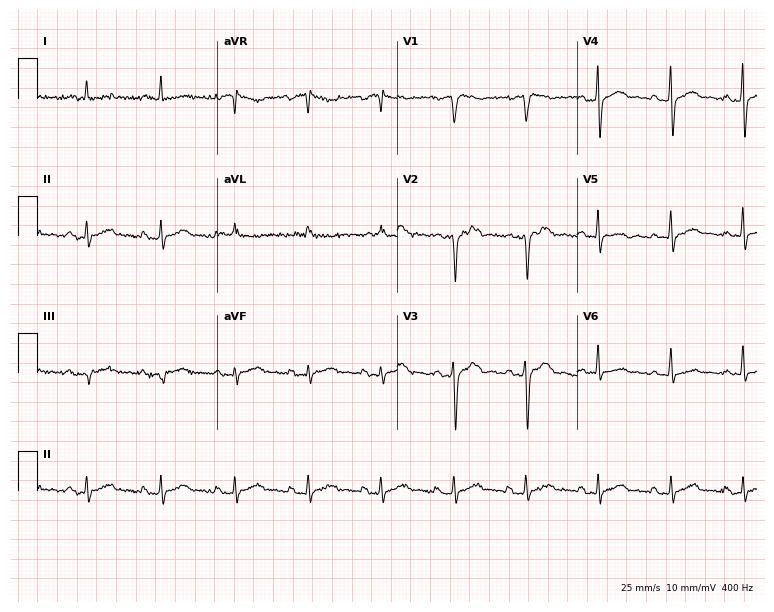
ECG (7.3-second recording at 400 Hz) — a male, 61 years old. Screened for six findings — first-degree AV block, right bundle branch block, left bundle branch block, sinus bradycardia, atrial fibrillation, sinus tachycardia — none is recorded.